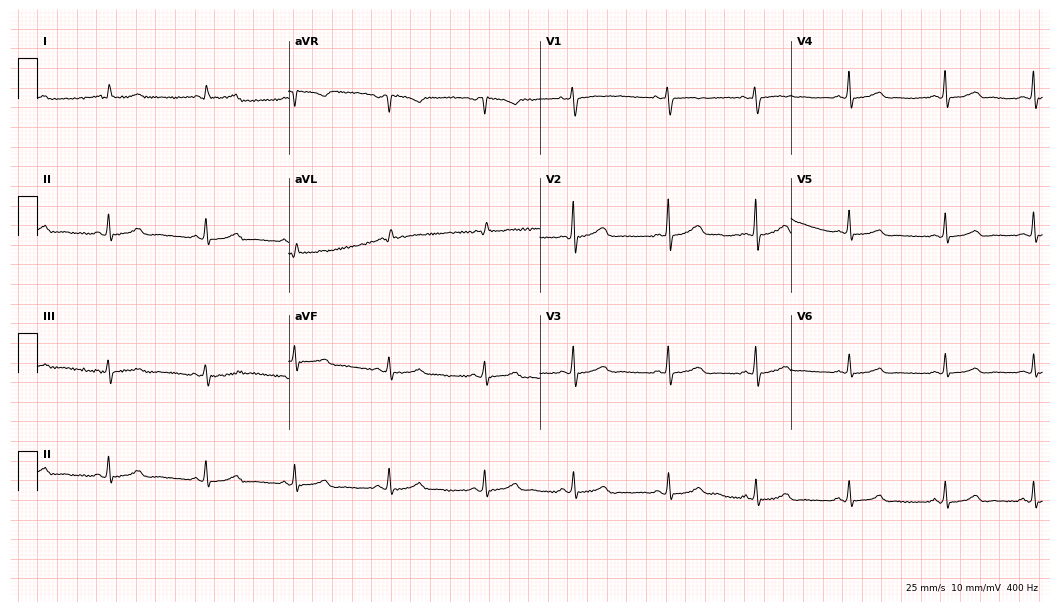
12-lead ECG from a female, 49 years old (10.2-second recording at 400 Hz). Recorded interpretation: within normal limits.